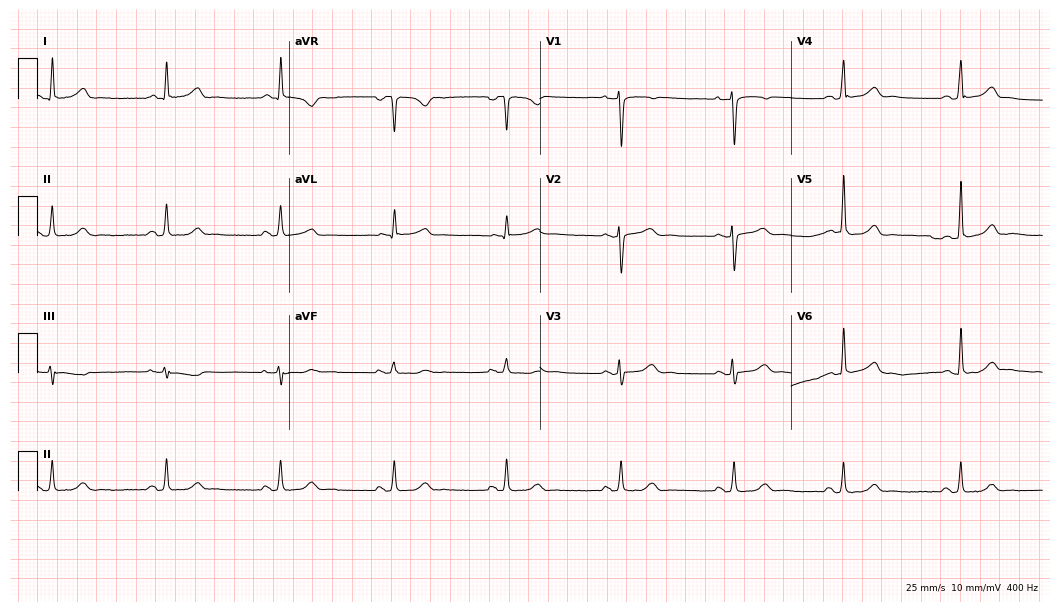
ECG — a 42-year-old female. Labelled as a normal ECG.